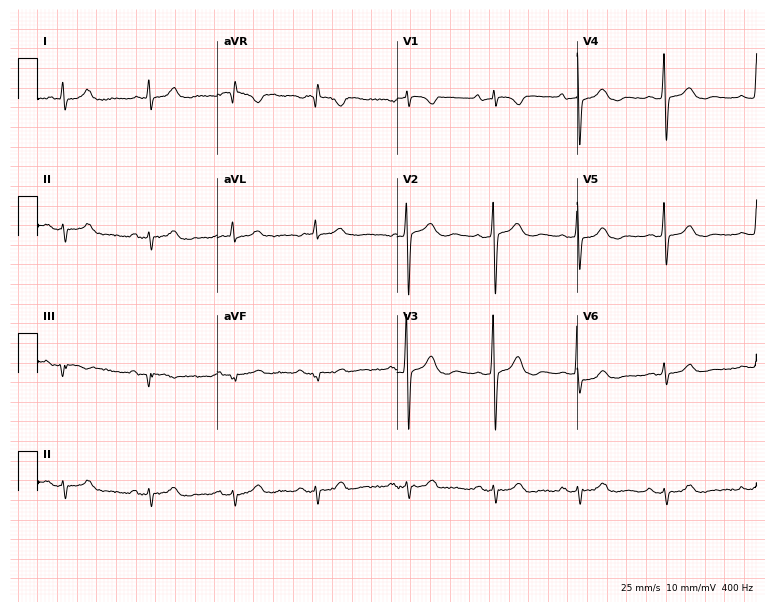
Standard 12-lead ECG recorded from a female, 78 years old (7.3-second recording at 400 Hz). None of these six findings is recorded: first-degree AV block, right bundle branch block, left bundle branch block, sinus bradycardia, atrial fibrillation, sinus tachycardia. Only these six findings were labelled.